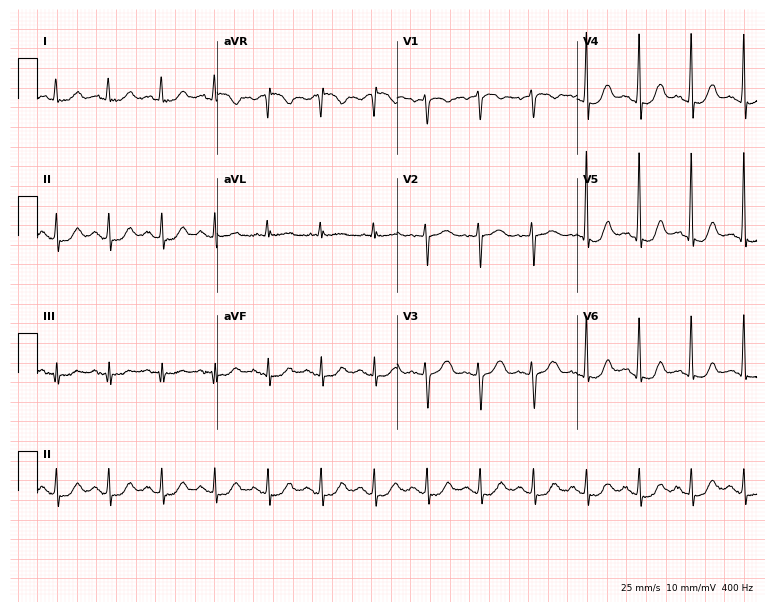
Resting 12-lead electrocardiogram. Patient: a 53-year-old female. None of these six findings is recorded: first-degree AV block, right bundle branch block (RBBB), left bundle branch block (LBBB), sinus bradycardia, atrial fibrillation (AF), sinus tachycardia.